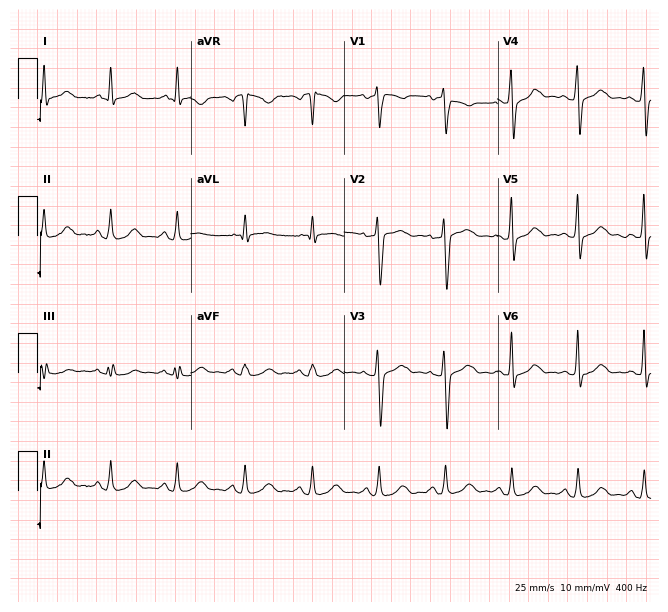
12-lead ECG from a 70-year-old male. Screened for six findings — first-degree AV block, right bundle branch block, left bundle branch block, sinus bradycardia, atrial fibrillation, sinus tachycardia — none is recorded. Findings outside these six are not listed.